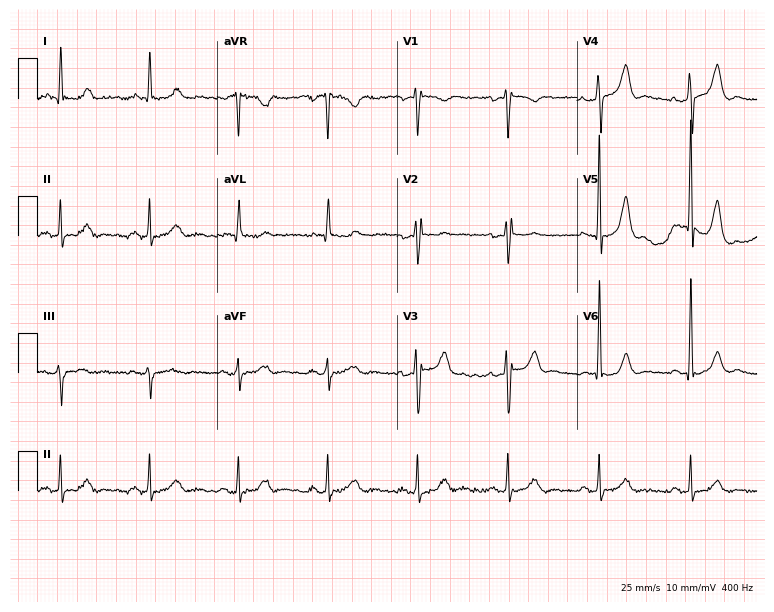
Standard 12-lead ECG recorded from a male, 72 years old (7.3-second recording at 400 Hz). Read as a normal ECG.